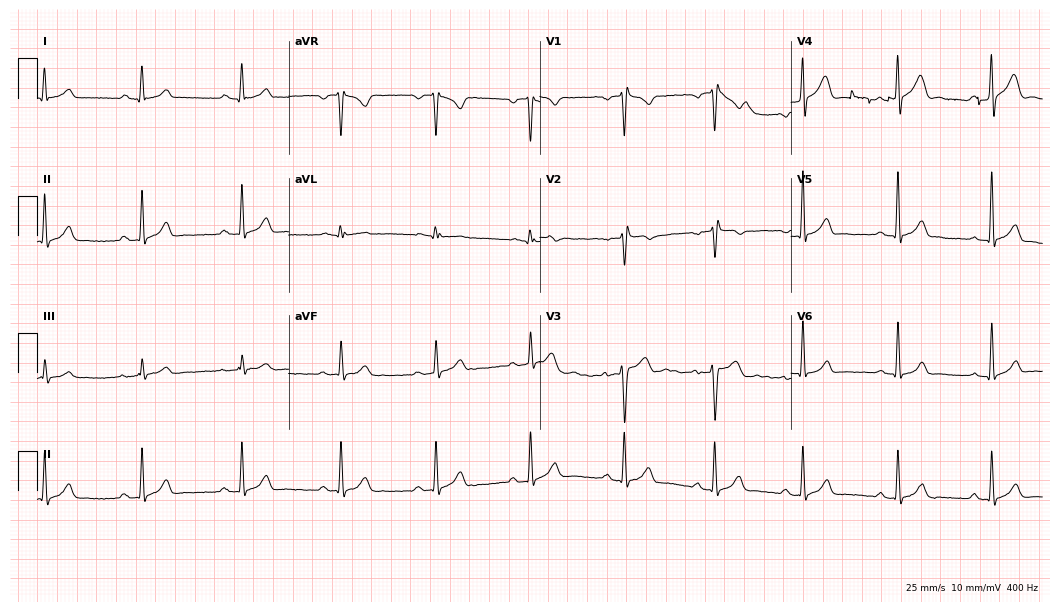
Electrocardiogram (10.2-second recording at 400 Hz), a man, 37 years old. Of the six screened findings (first-degree AV block, right bundle branch block (RBBB), left bundle branch block (LBBB), sinus bradycardia, atrial fibrillation (AF), sinus tachycardia), none is recorded.